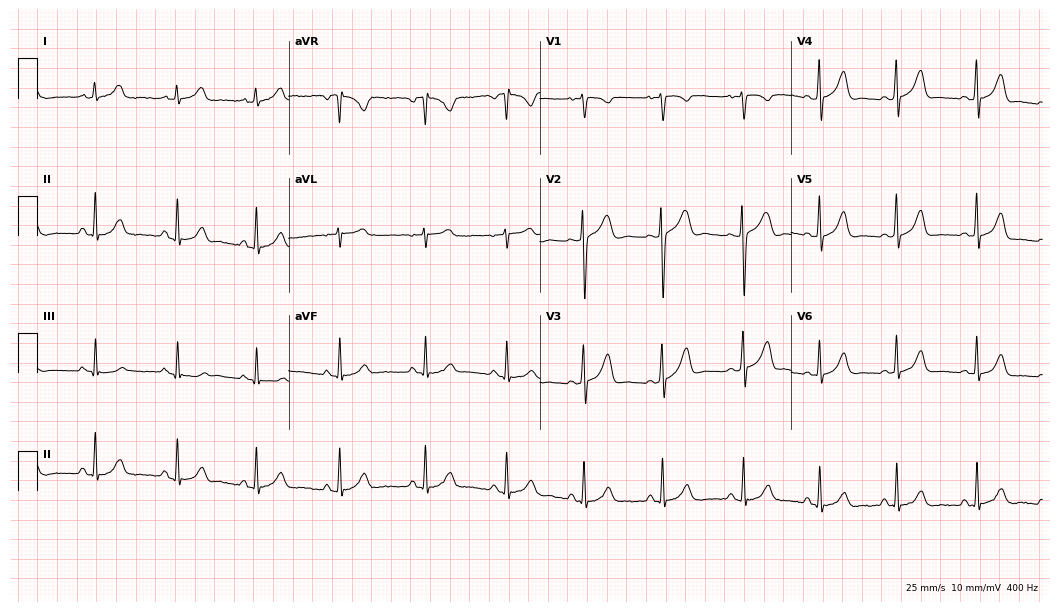
ECG (10.2-second recording at 400 Hz) — an 18-year-old woman. Labelled as a normal ECG.